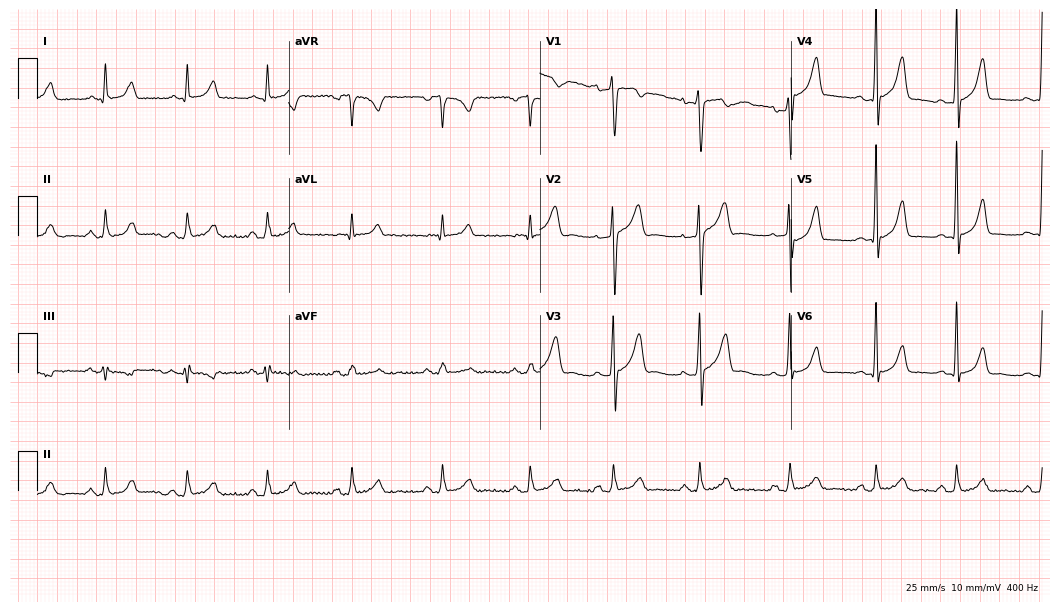
12-lead ECG from a male, 40 years old. Labelled as a normal ECG.